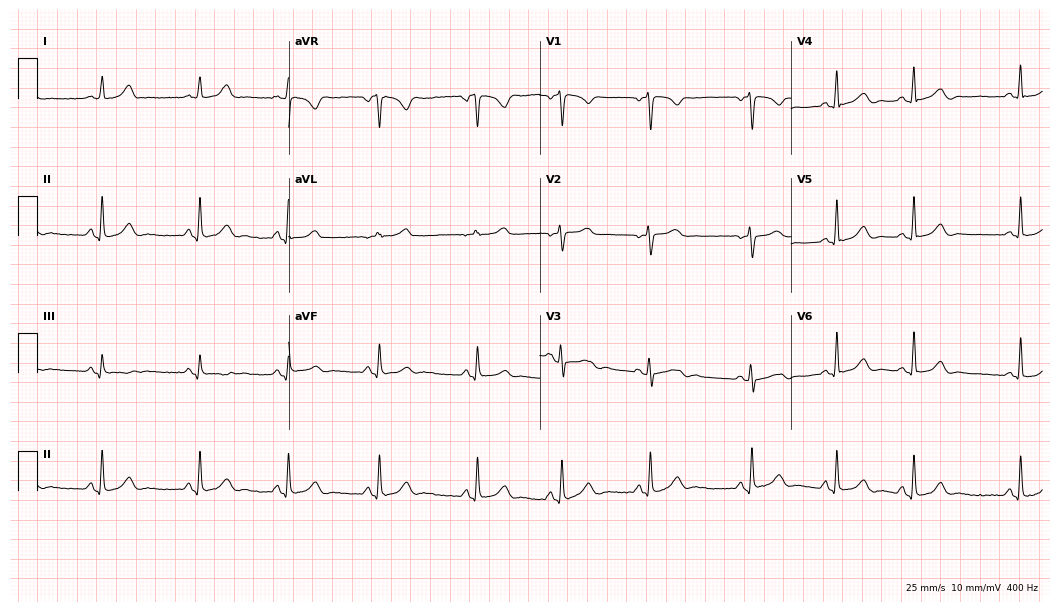
Resting 12-lead electrocardiogram (10.2-second recording at 400 Hz). Patient: a 22-year-old female. Read as a normal ECG.